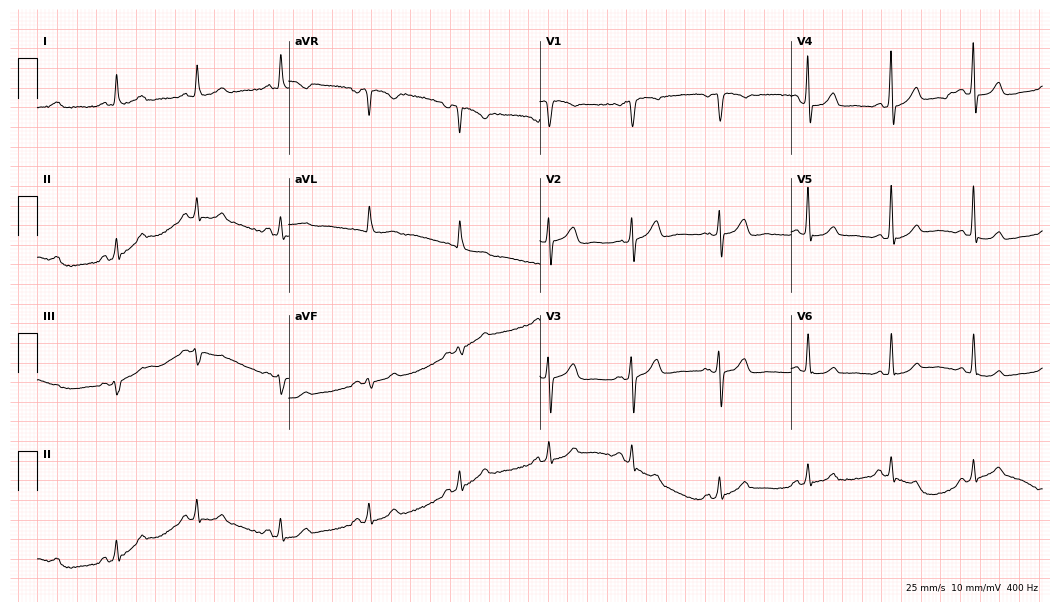
Resting 12-lead electrocardiogram. Patient: a female, 72 years old. Read as a normal ECG.